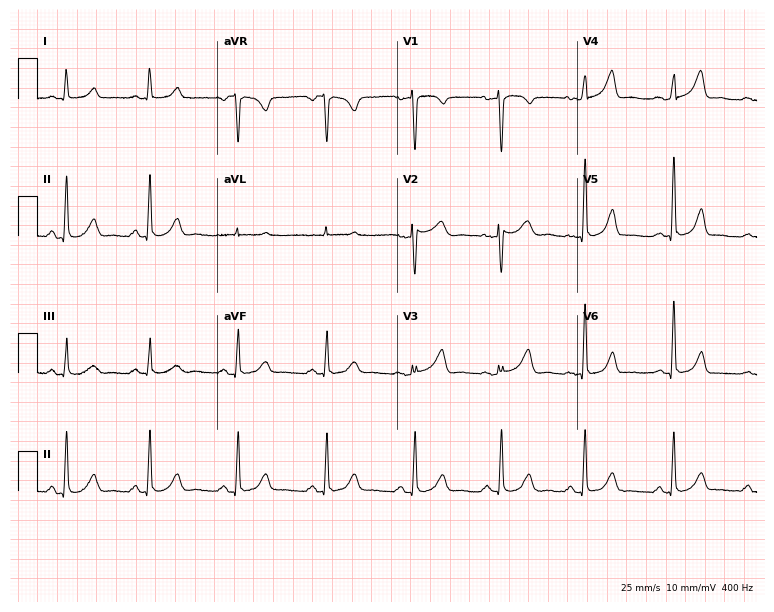
12-lead ECG from a female, 47 years old. No first-degree AV block, right bundle branch block, left bundle branch block, sinus bradycardia, atrial fibrillation or sinus tachycardia recorded for this tracing. Findings outside these six are not listed.